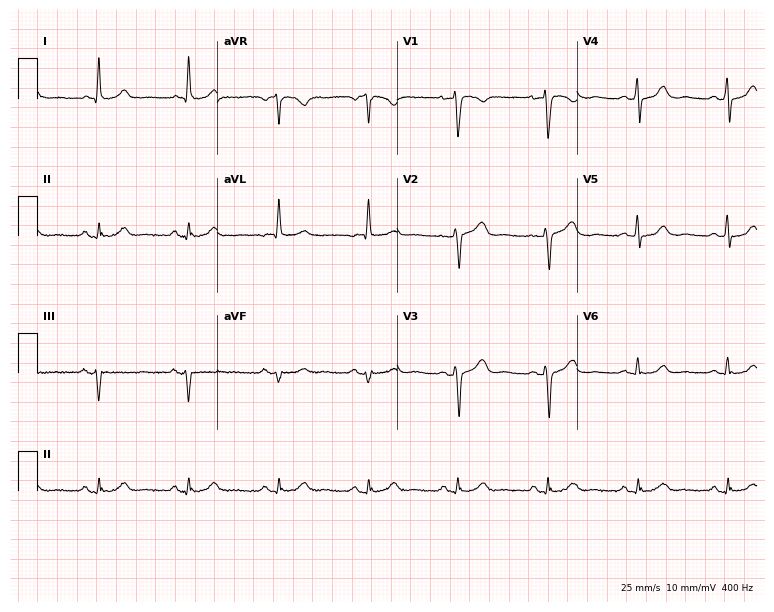
12-lead ECG from a man, 83 years old (7.3-second recording at 400 Hz). Recorded interpretation: within normal limits.